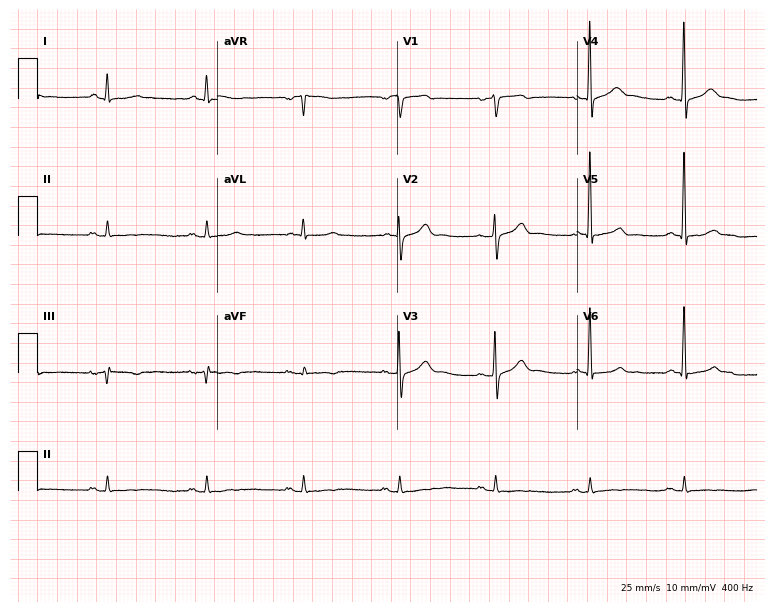
12-lead ECG from a male, 60 years old. No first-degree AV block, right bundle branch block (RBBB), left bundle branch block (LBBB), sinus bradycardia, atrial fibrillation (AF) or sinus tachycardia recorded for this tracing. Findings outside these six are not listed.